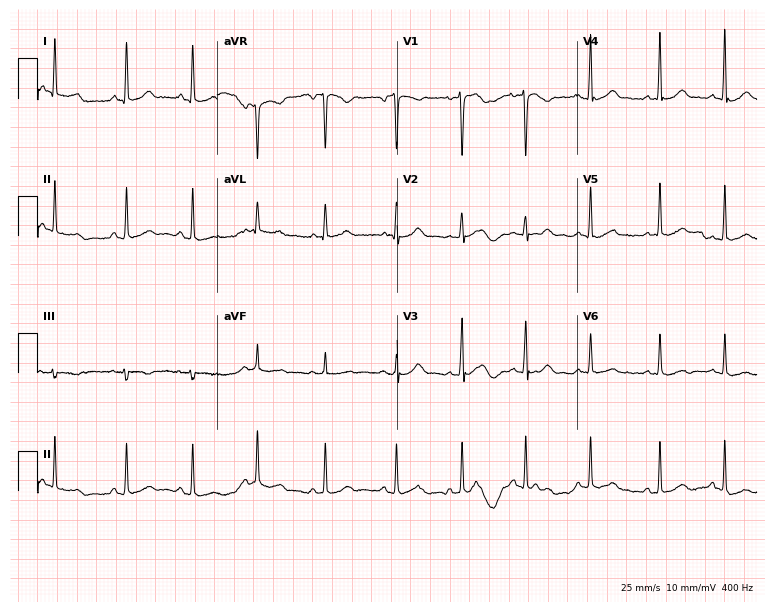
12-lead ECG from a 23-year-old female (7.3-second recording at 400 Hz). Recorded interpretation: within normal limits.